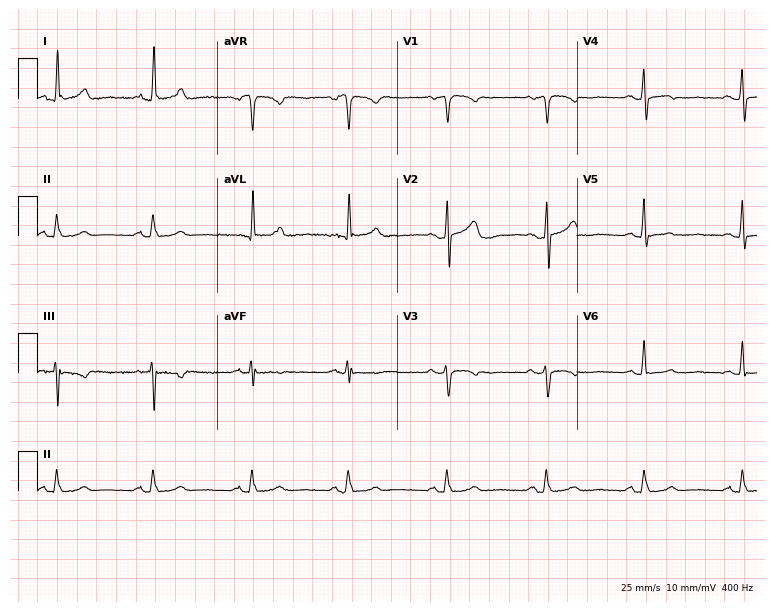
Electrocardiogram (7.3-second recording at 400 Hz), a female, 70 years old. Of the six screened findings (first-degree AV block, right bundle branch block (RBBB), left bundle branch block (LBBB), sinus bradycardia, atrial fibrillation (AF), sinus tachycardia), none is recorded. Findings outside these six are not listed.